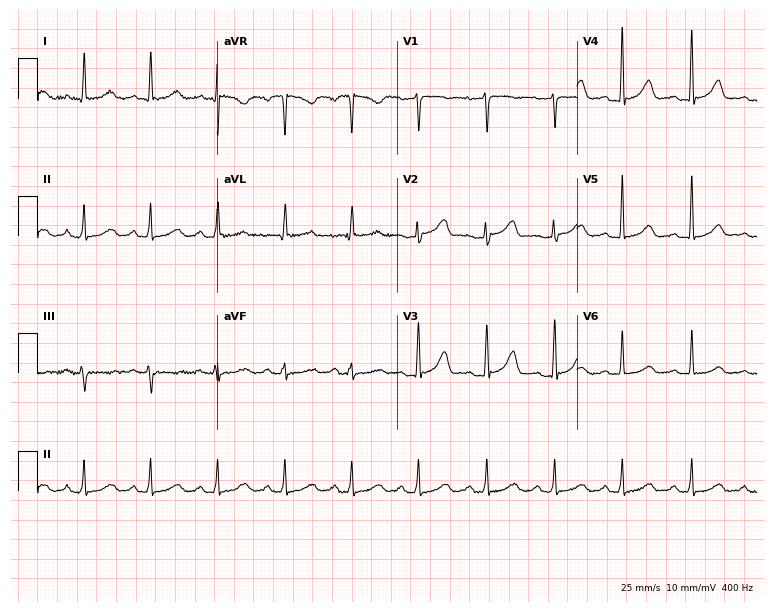
Resting 12-lead electrocardiogram (7.3-second recording at 400 Hz). Patient: a woman, 49 years old. None of these six findings is recorded: first-degree AV block, right bundle branch block (RBBB), left bundle branch block (LBBB), sinus bradycardia, atrial fibrillation (AF), sinus tachycardia. Only these six findings were labelled.